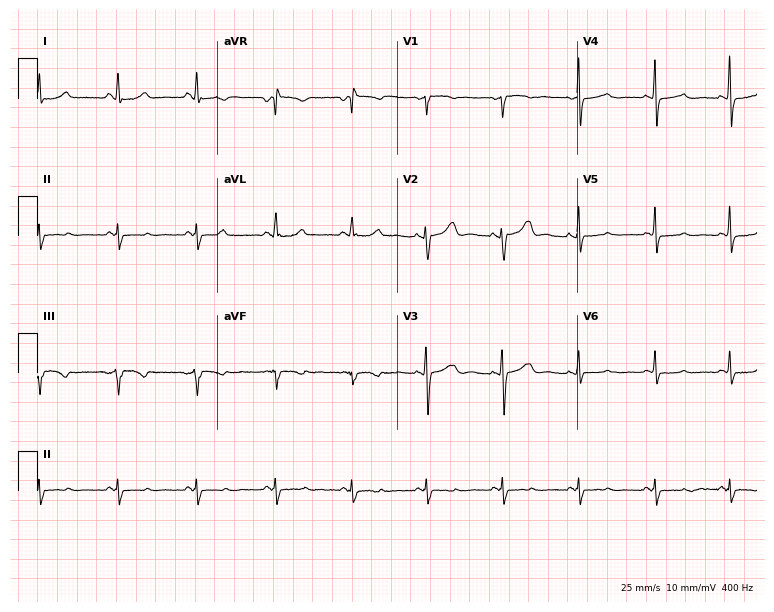
Electrocardiogram (7.3-second recording at 400 Hz), a 37-year-old woman. Of the six screened findings (first-degree AV block, right bundle branch block, left bundle branch block, sinus bradycardia, atrial fibrillation, sinus tachycardia), none is recorded.